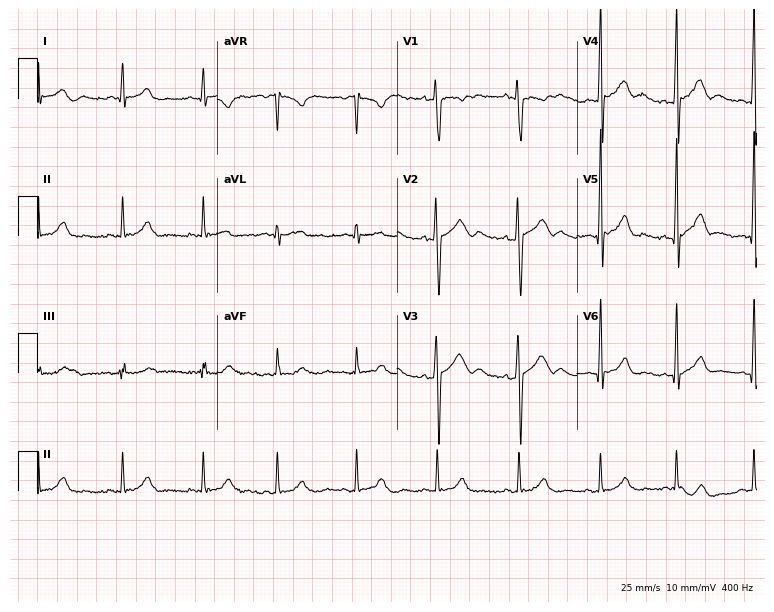
12-lead ECG from a 19-year-old male. Recorded interpretation: within normal limits.